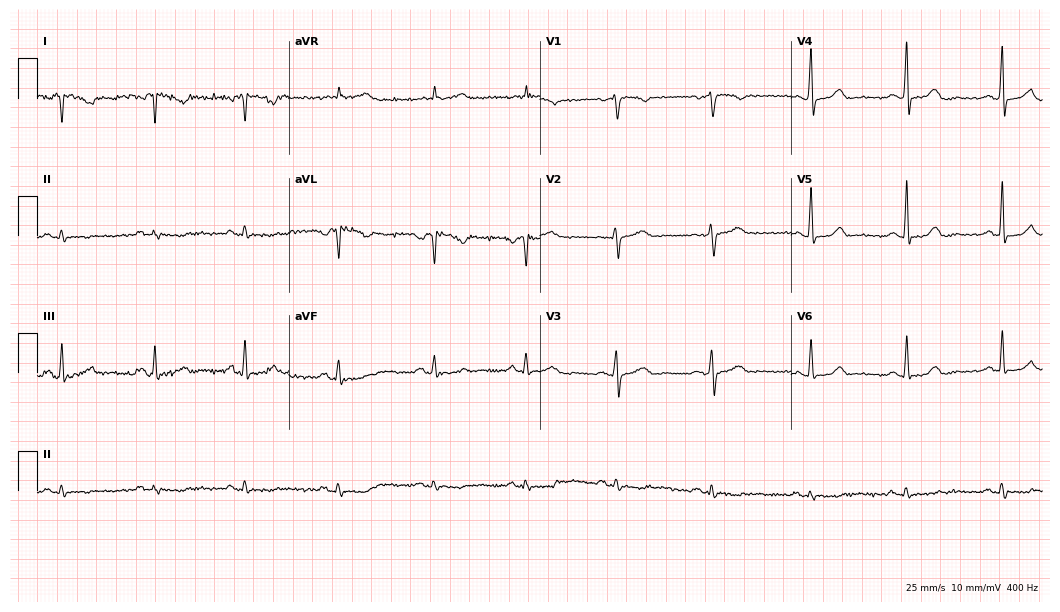
12-lead ECG from a woman, 57 years old (10.2-second recording at 400 Hz). No first-degree AV block, right bundle branch block (RBBB), left bundle branch block (LBBB), sinus bradycardia, atrial fibrillation (AF) or sinus tachycardia recorded for this tracing.